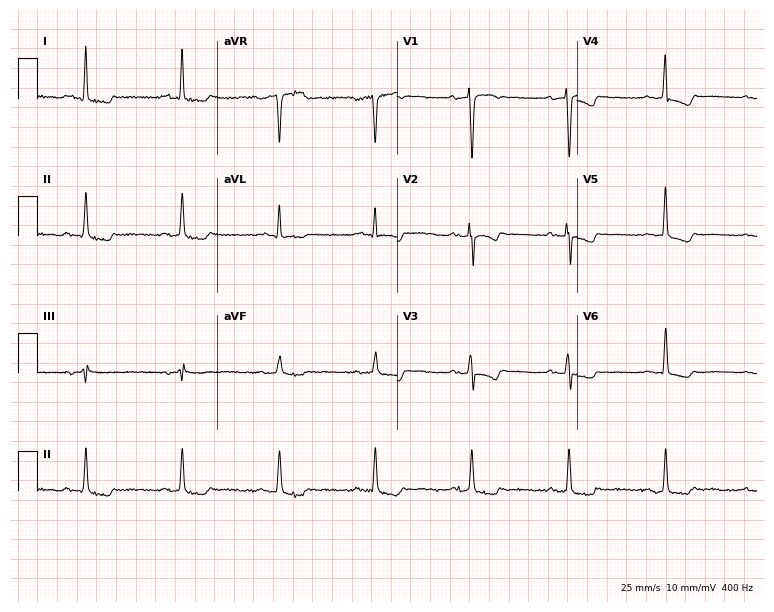
Electrocardiogram (7.3-second recording at 400 Hz), a man, 46 years old. Of the six screened findings (first-degree AV block, right bundle branch block, left bundle branch block, sinus bradycardia, atrial fibrillation, sinus tachycardia), none is recorded. Other findings, if any, are not listed.